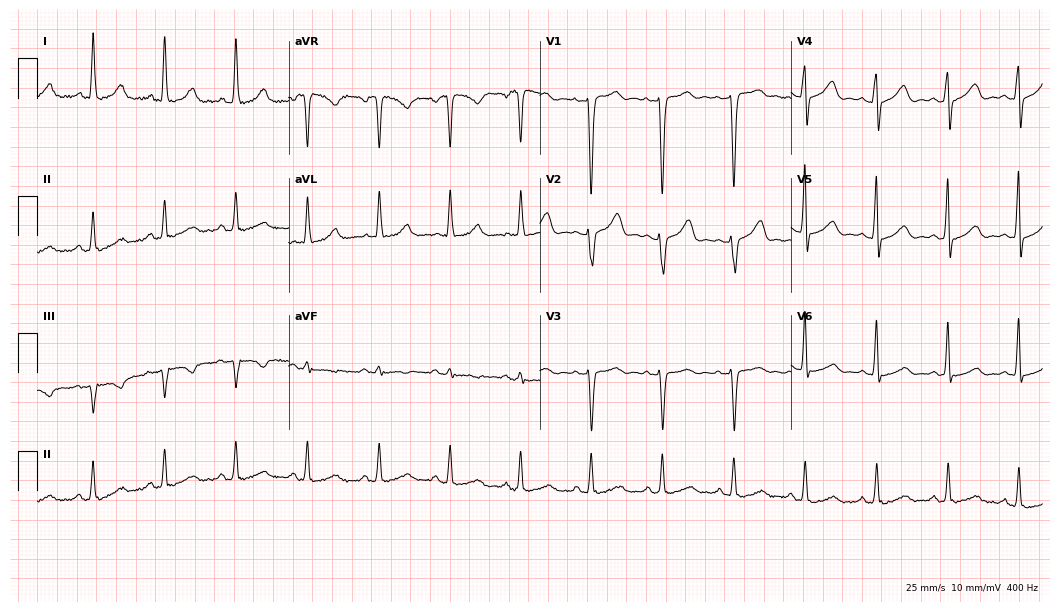
Electrocardiogram, a female, 43 years old. Overall reading on record: normal ECG.